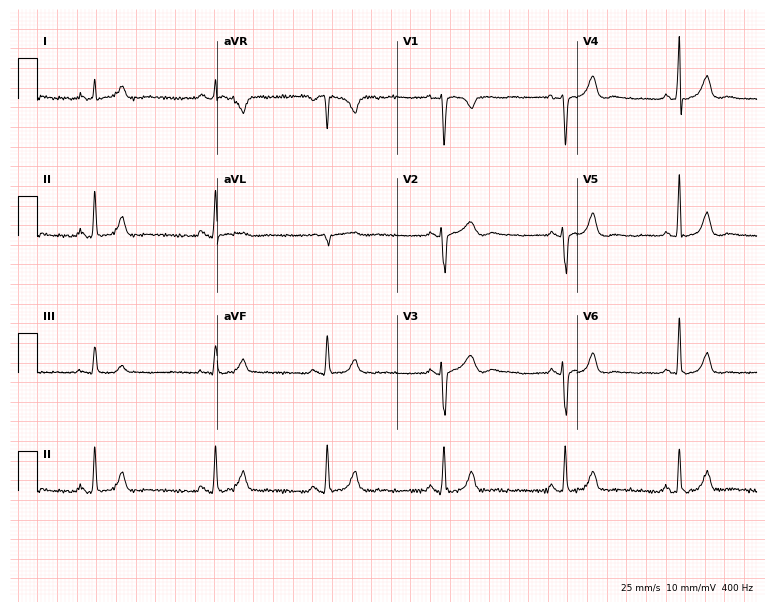
Electrocardiogram, a 17-year-old female. Overall reading on record: normal ECG.